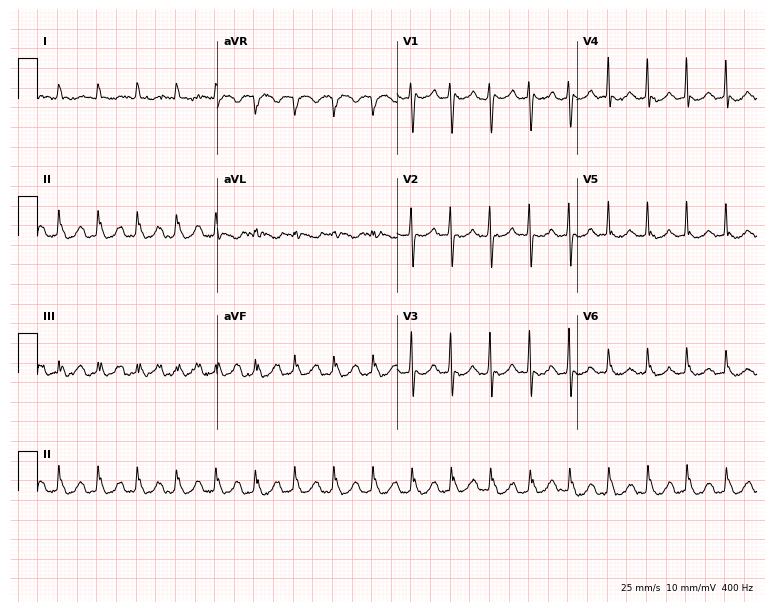
Resting 12-lead electrocardiogram (7.3-second recording at 400 Hz). Patient: a woman, 61 years old. None of these six findings is recorded: first-degree AV block, right bundle branch block, left bundle branch block, sinus bradycardia, atrial fibrillation, sinus tachycardia.